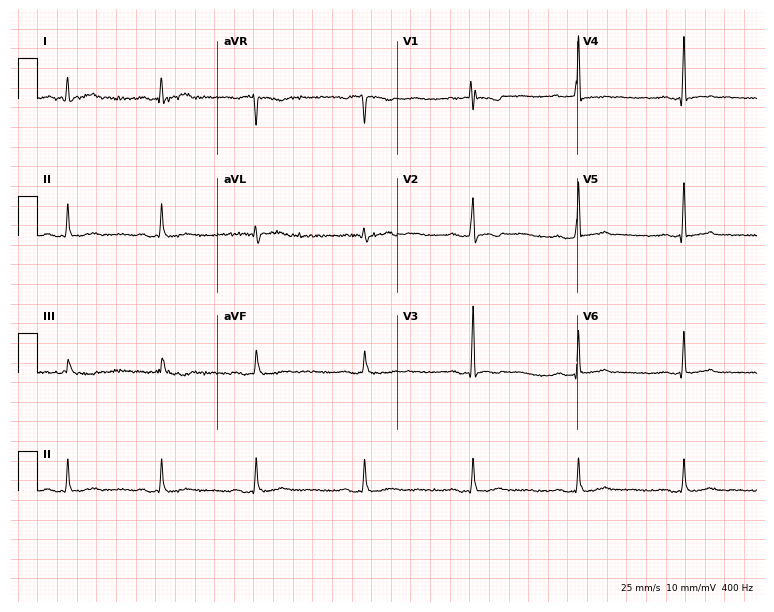
Electrocardiogram, a female, 69 years old. Of the six screened findings (first-degree AV block, right bundle branch block, left bundle branch block, sinus bradycardia, atrial fibrillation, sinus tachycardia), none is recorded. Findings outside these six are not listed.